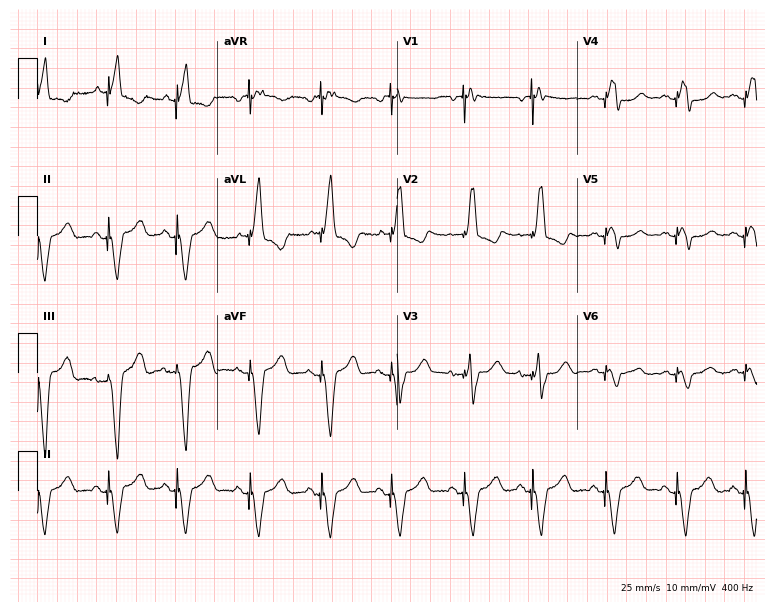
ECG (7.3-second recording at 400 Hz) — an 84-year-old female patient. Screened for six findings — first-degree AV block, right bundle branch block (RBBB), left bundle branch block (LBBB), sinus bradycardia, atrial fibrillation (AF), sinus tachycardia — none is recorded. Findings outside these six are not listed.